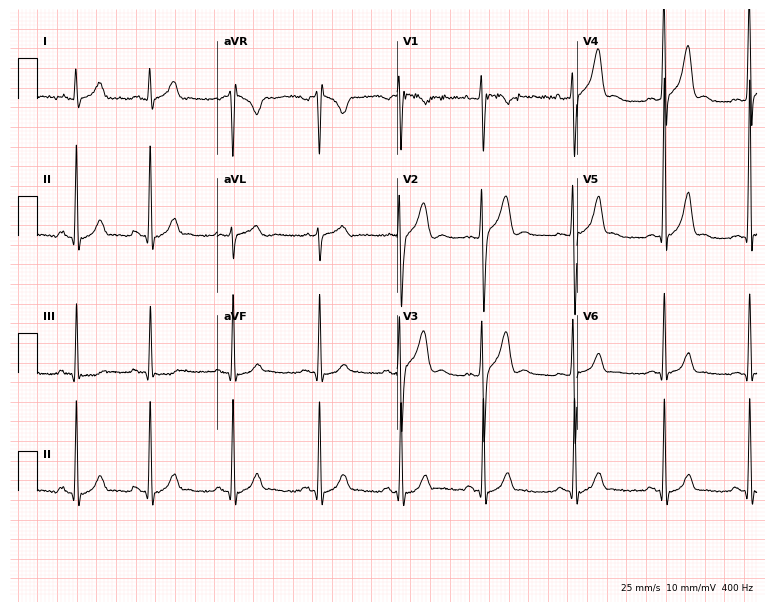
ECG — a male patient, 18 years old. Labelled as a normal ECG.